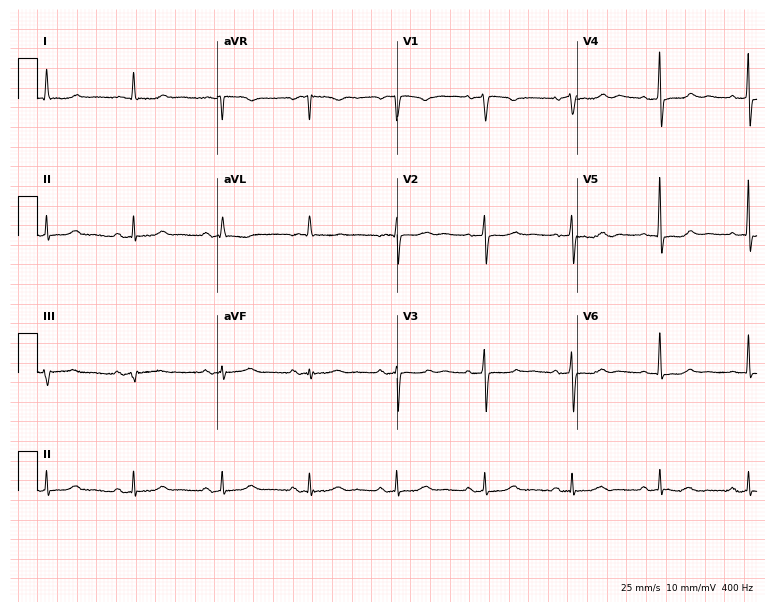
ECG — a female patient, 76 years old. Labelled as a normal ECG.